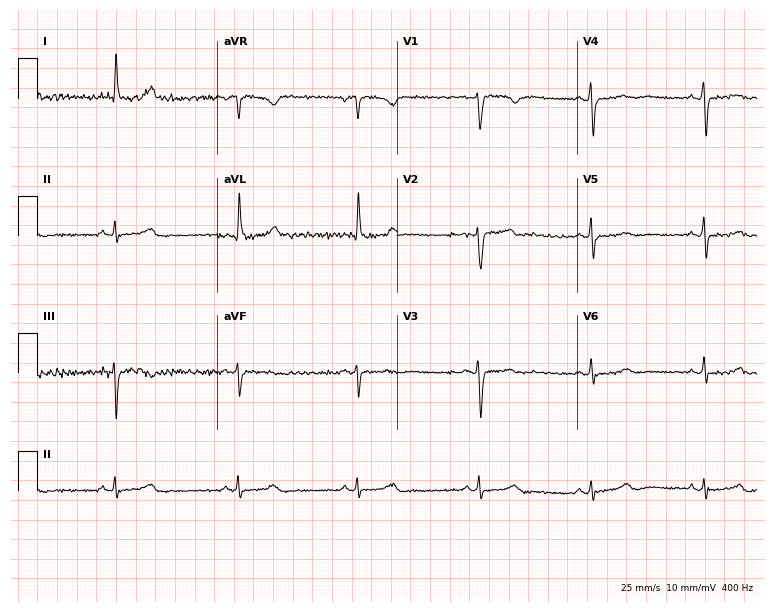
Resting 12-lead electrocardiogram (7.3-second recording at 400 Hz). Patient: a 53-year-old female. The tracing shows sinus bradycardia (a sinus rate of 50 beats per minute or less).